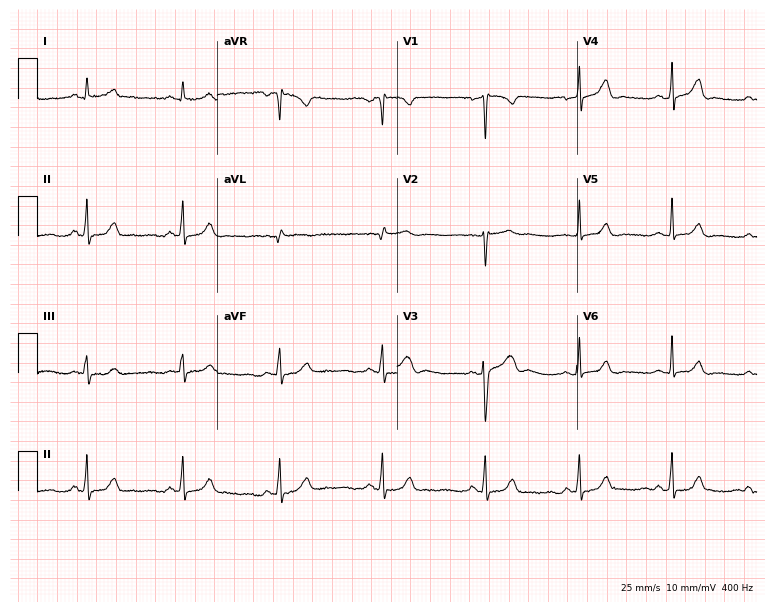
Standard 12-lead ECG recorded from a 27-year-old woman. None of these six findings is recorded: first-degree AV block, right bundle branch block (RBBB), left bundle branch block (LBBB), sinus bradycardia, atrial fibrillation (AF), sinus tachycardia.